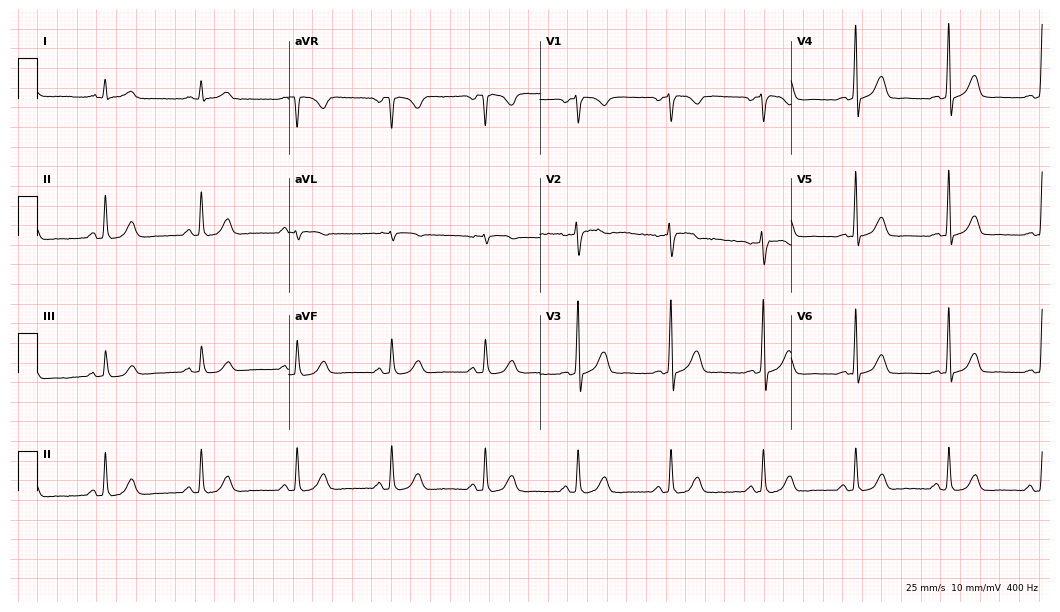
Standard 12-lead ECG recorded from a 38-year-old female (10.2-second recording at 400 Hz). Read as a normal ECG.